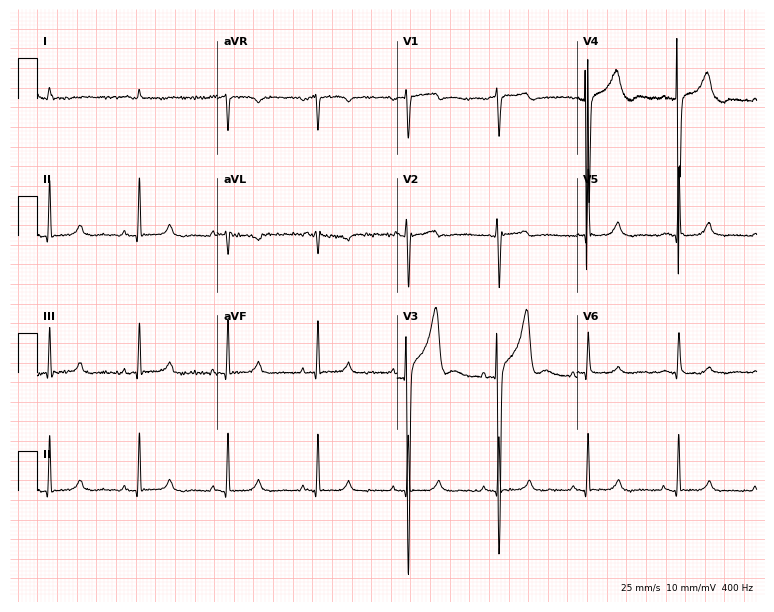
Standard 12-lead ECG recorded from a 60-year-old male patient (7.3-second recording at 400 Hz). Read as a normal ECG.